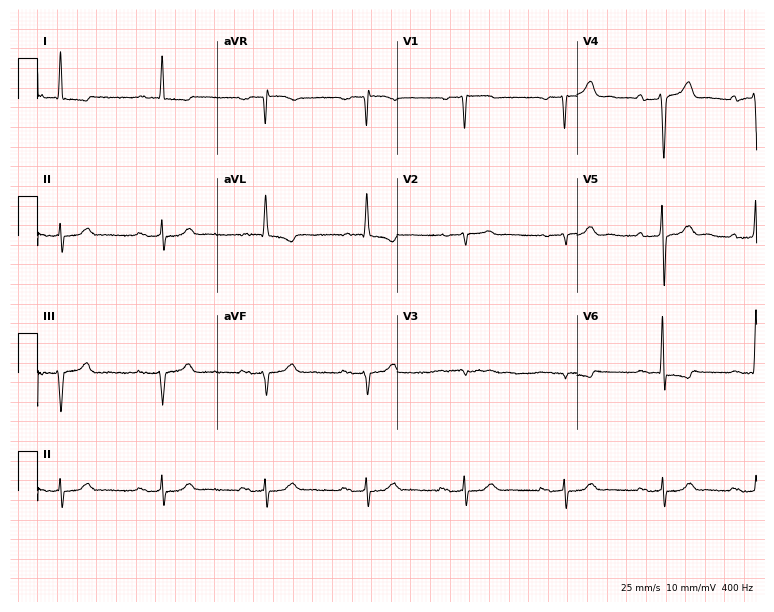
ECG — a 78-year-old male. Findings include first-degree AV block.